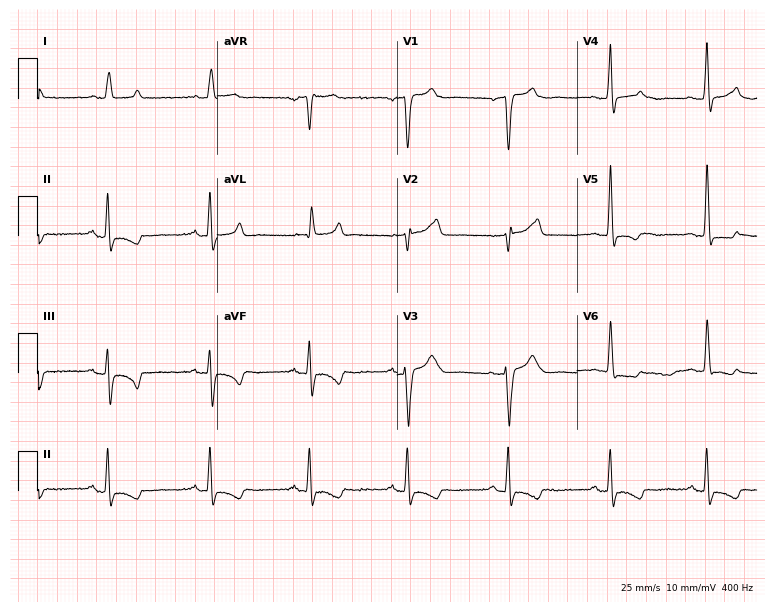
Standard 12-lead ECG recorded from a woman, 82 years old. None of these six findings is recorded: first-degree AV block, right bundle branch block (RBBB), left bundle branch block (LBBB), sinus bradycardia, atrial fibrillation (AF), sinus tachycardia. Findings outside these six are not listed.